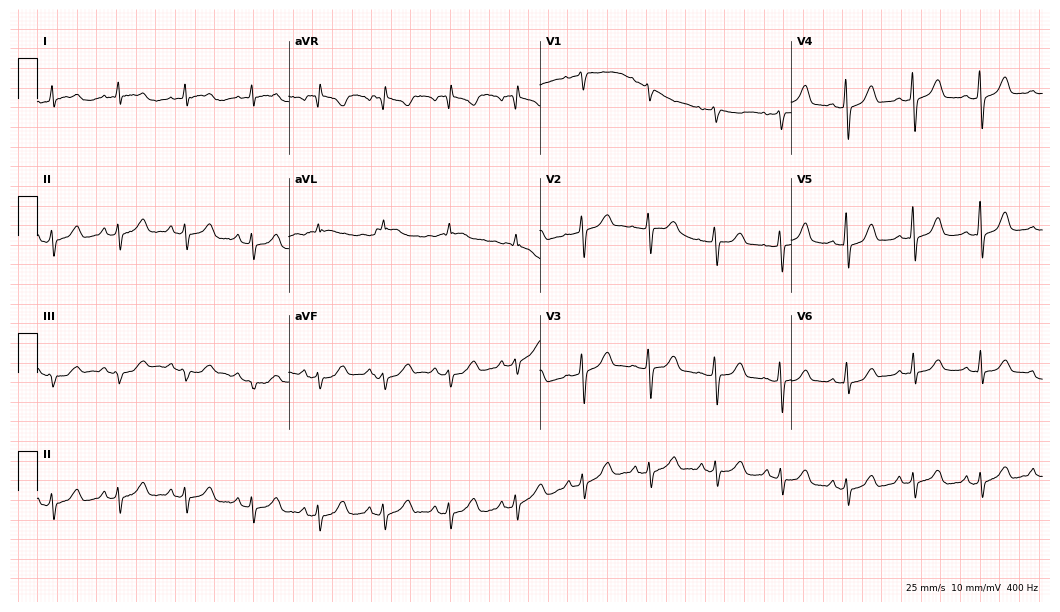
Resting 12-lead electrocardiogram (10.2-second recording at 400 Hz). Patient: a 70-year-old female. None of these six findings is recorded: first-degree AV block, right bundle branch block, left bundle branch block, sinus bradycardia, atrial fibrillation, sinus tachycardia.